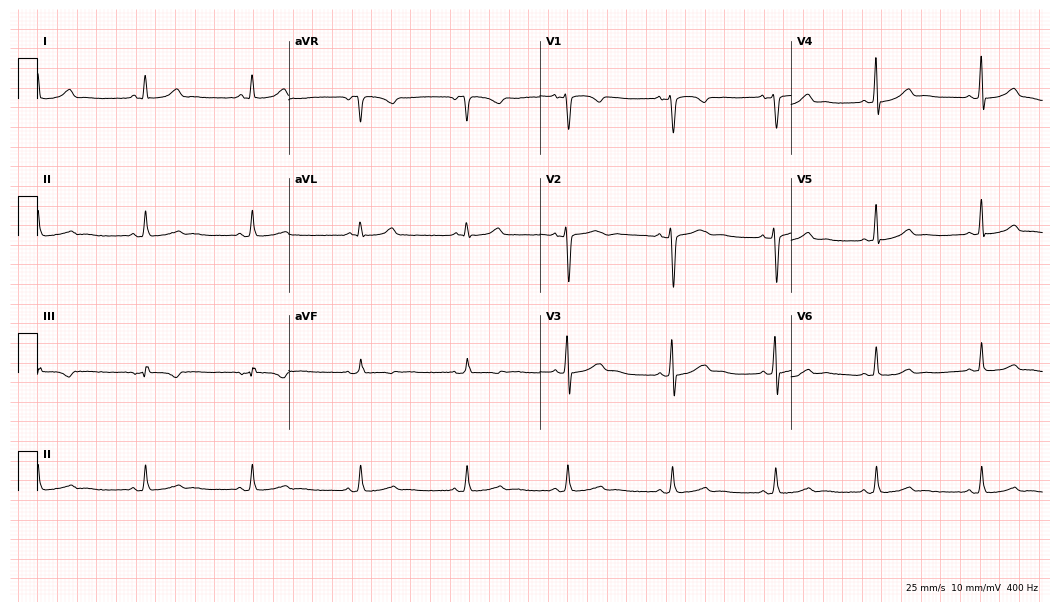
12-lead ECG (10.2-second recording at 400 Hz) from a female patient, 34 years old. Screened for six findings — first-degree AV block, right bundle branch block, left bundle branch block, sinus bradycardia, atrial fibrillation, sinus tachycardia — none is recorded.